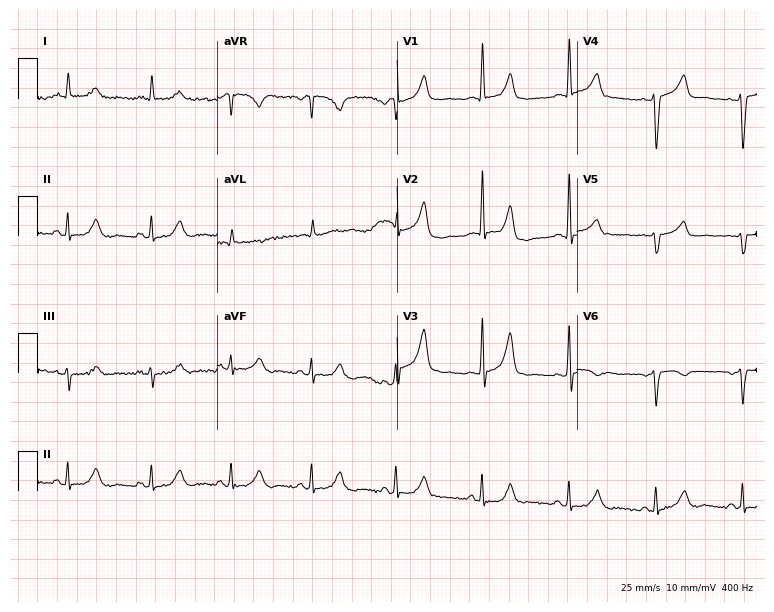
ECG — a female patient, 37 years old. Screened for six findings — first-degree AV block, right bundle branch block, left bundle branch block, sinus bradycardia, atrial fibrillation, sinus tachycardia — none is recorded.